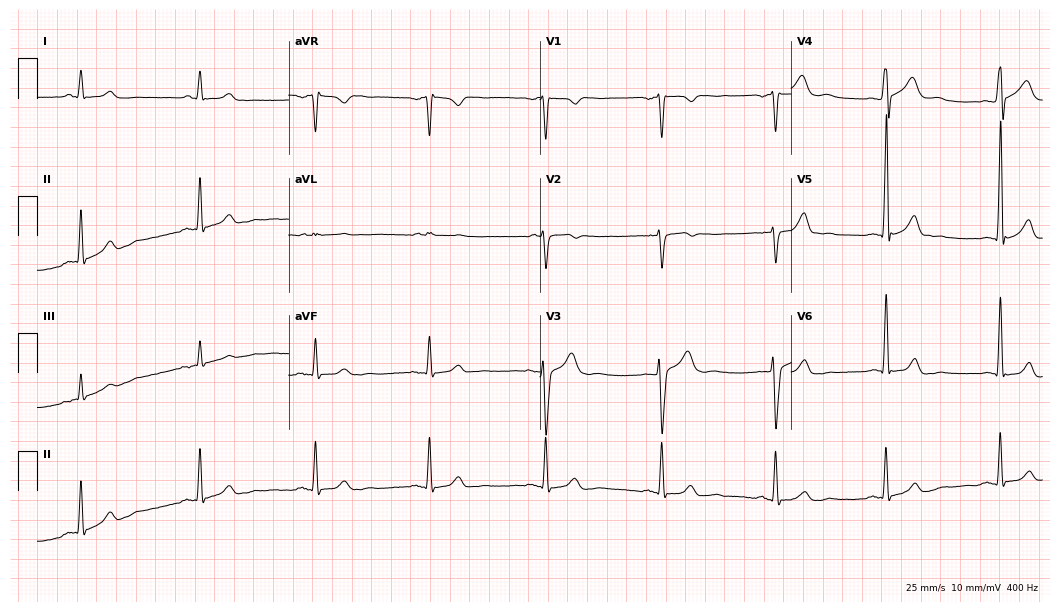
Standard 12-lead ECG recorded from a male, 64 years old. Read as a normal ECG.